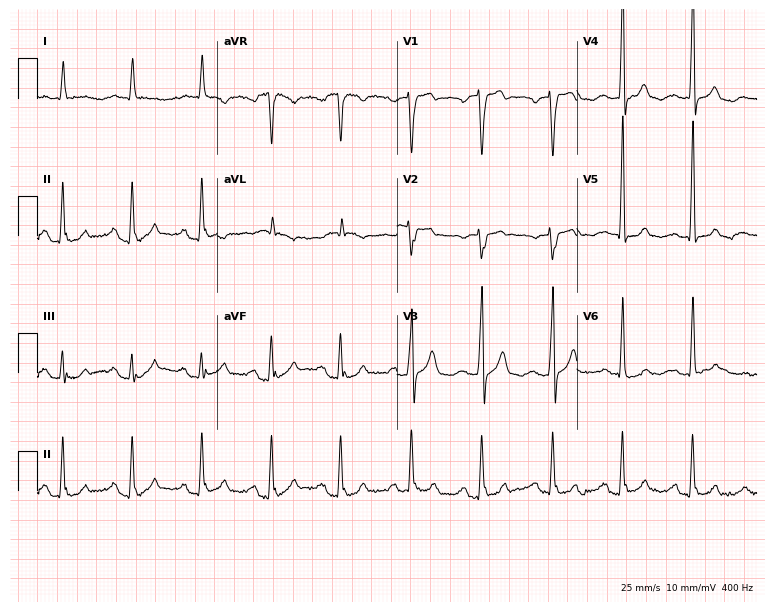
12-lead ECG from a male patient, 51 years old (7.3-second recording at 400 Hz). Shows first-degree AV block.